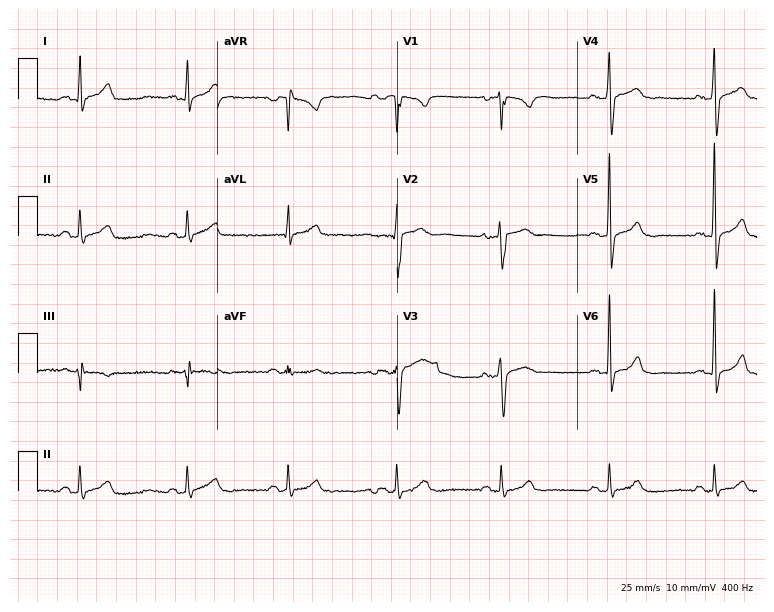
12-lead ECG from a male, 57 years old (7.3-second recording at 400 Hz). Recorded interpretation: within normal limits.